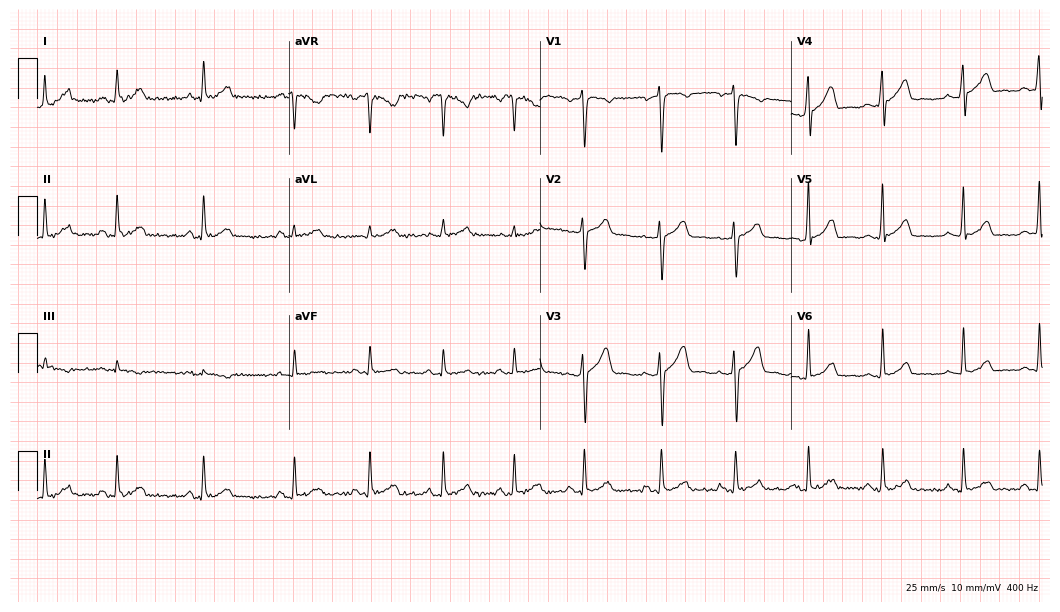
12-lead ECG from a 27-year-old male patient. No first-degree AV block, right bundle branch block (RBBB), left bundle branch block (LBBB), sinus bradycardia, atrial fibrillation (AF) or sinus tachycardia recorded for this tracing. Only these six findings were labelled.